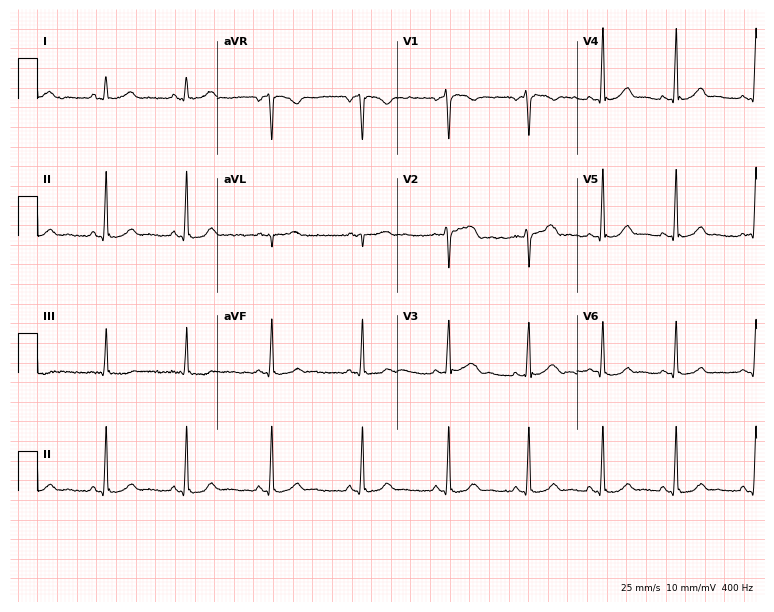
Resting 12-lead electrocardiogram. Patient: a female, 26 years old. None of these six findings is recorded: first-degree AV block, right bundle branch block, left bundle branch block, sinus bradycardia, atrial fibrillation, sinus tachycardia.